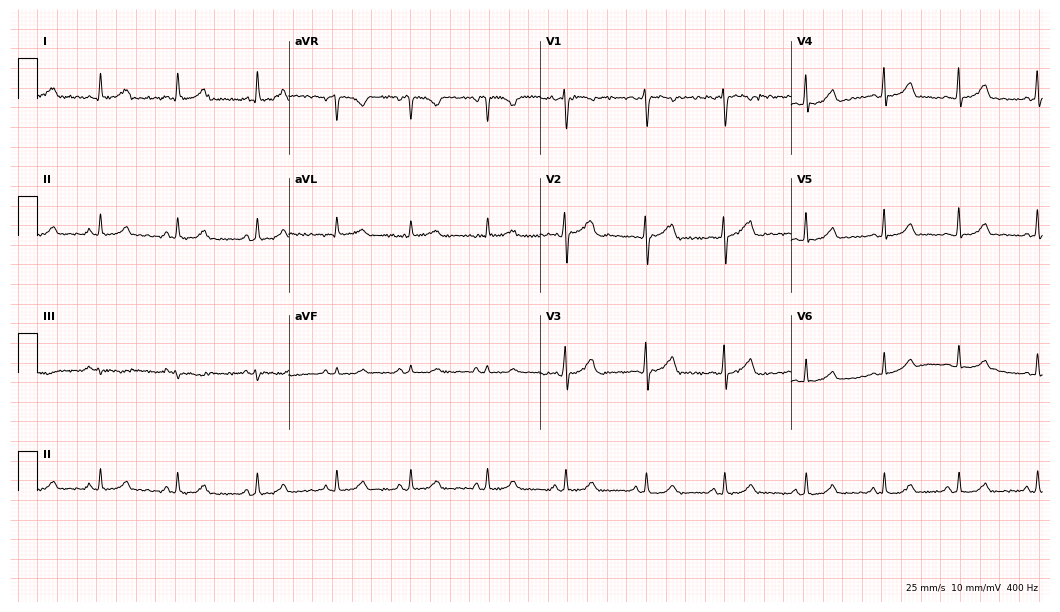
12-lead ECG (10.2-second recording at 400 Hz) from a 41-year-old woman. Labelled as a normal ECG.